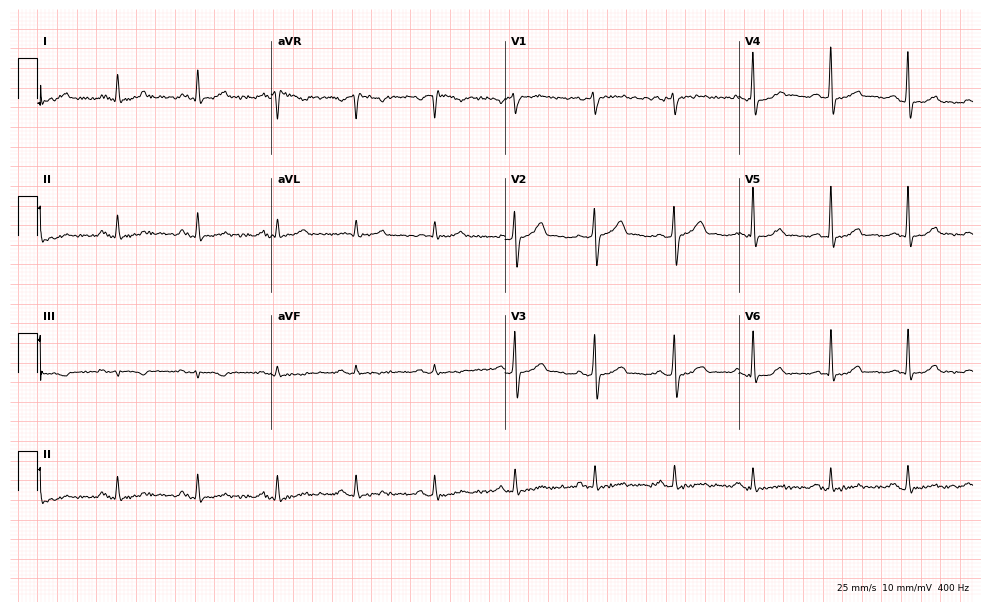
12-lead ECG from a 54-year-old male. Labelled as a normal ECG.